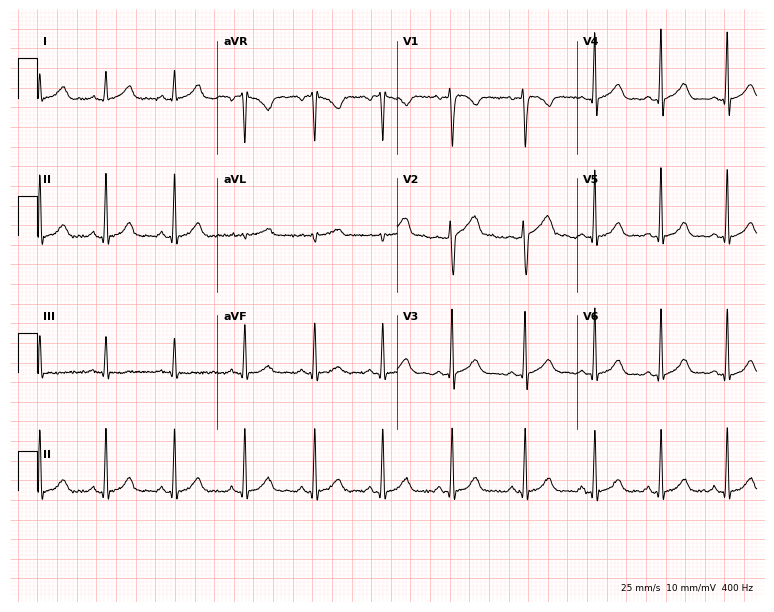
12-lead ECG from a 33-year-old female. Labelled as a normal ECG.